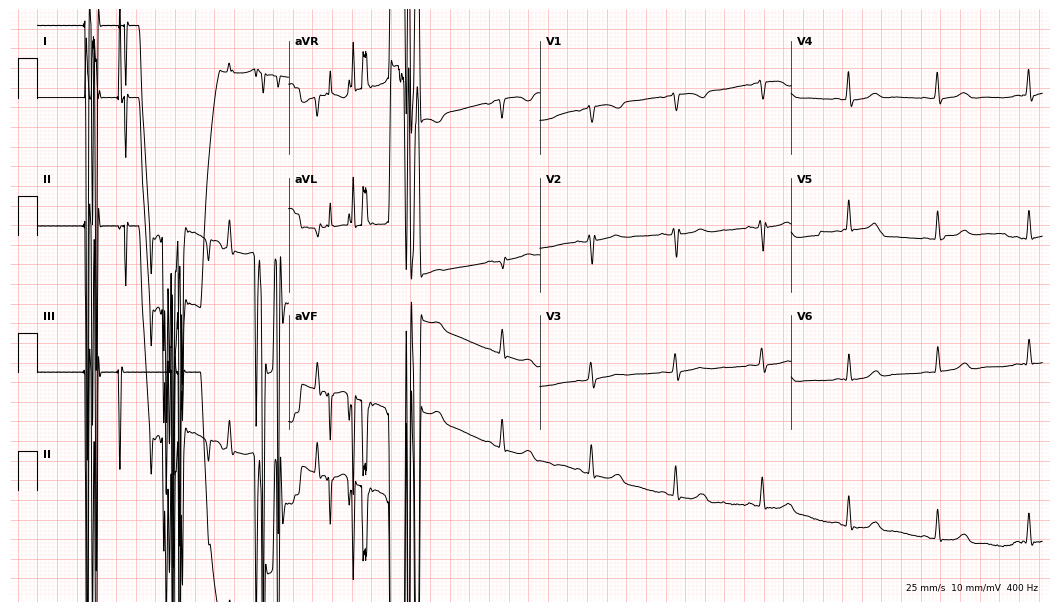
Resting 12-lead electrocardiogram. Patient: a female, 49 years old. None of these six findings is recorded: first-degree AV block, right bundle branch block, left bundle branch block, sinus bradycardia, atrial fibrillation, sinus tachycardia. Only these six findings were labelled.